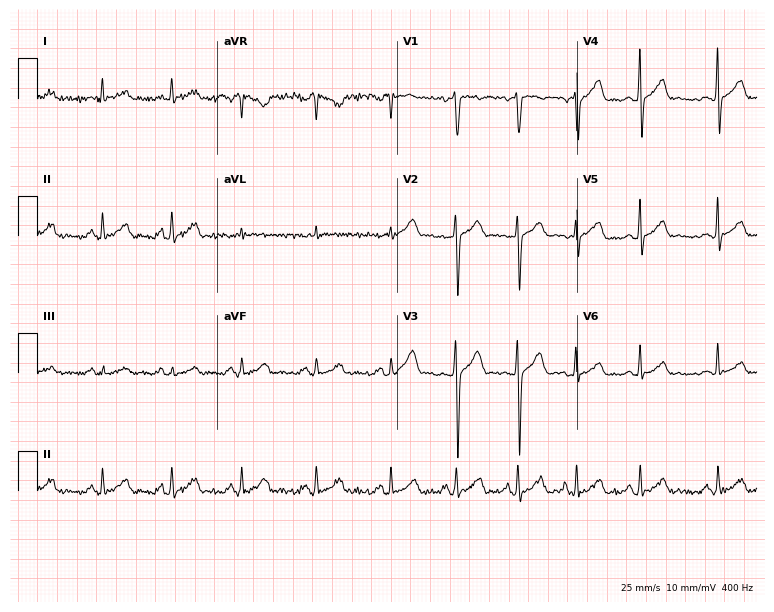
Electrocardiogram (7.3-second recording at 400 Hz), a 22-year-old man. Overall reading on record: normal ECG.